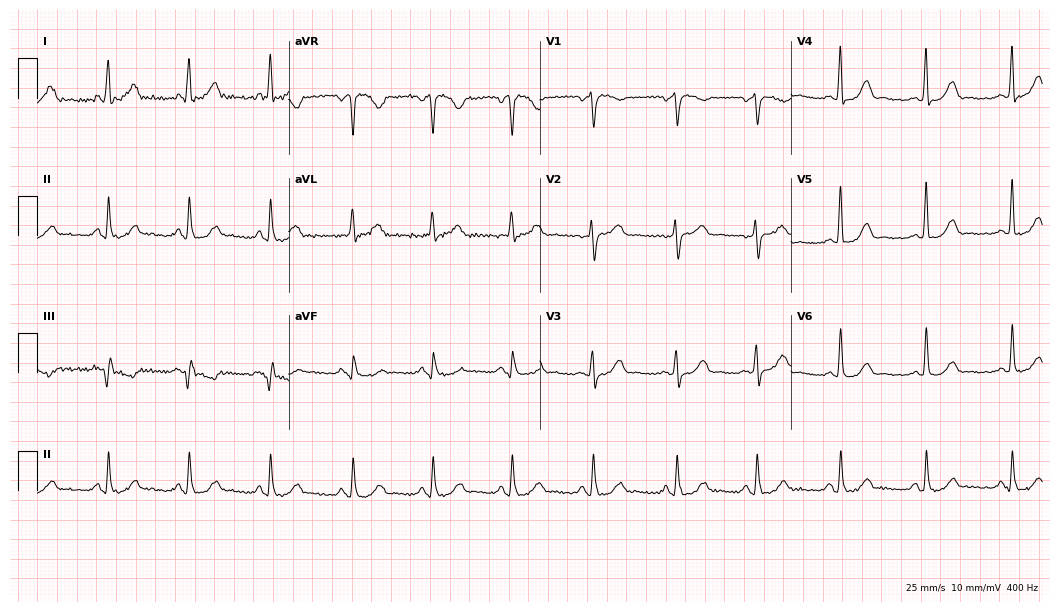
Standard 12-lead ECG recorded from a 65-year-old woman (10.2-second recording at 400 Hz). Read as a normal ECG.